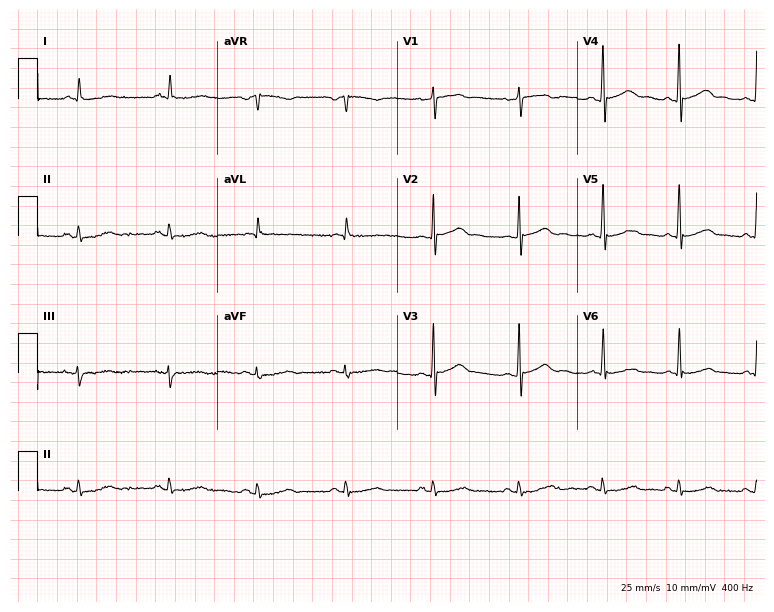
Electrocardiogram (7.3-second recording at 400 Hz), a 59-year-old male. Overall reading on record: normal ECG.